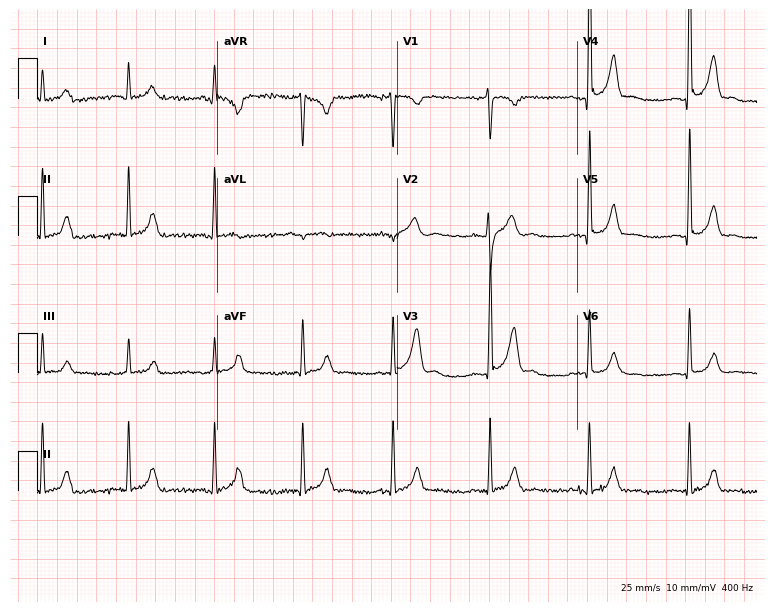
Resting 12-lead electrocardiogram (7.3-second recording at 400 Hz). Patient: a man, 35 years old. None of these six findings is recorded: first-degree AV block, right bundle branch block, left bundle branch block, sinus bradycardia, atrial fibrillation, sinus tachycardia.